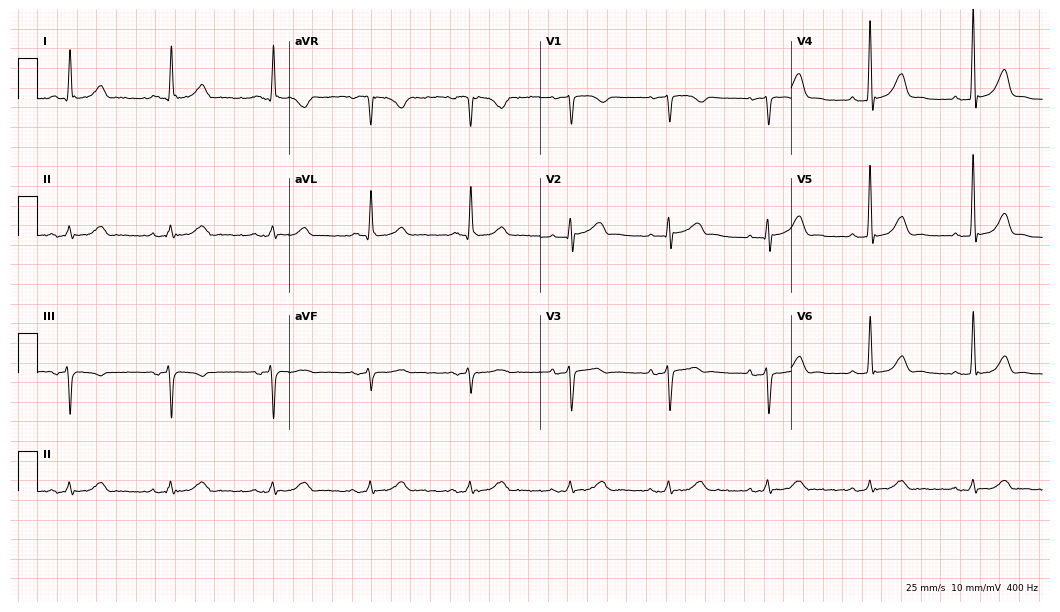
Electrocardiogram, a male, 72 years old. Overall reading on record: normal ECG.